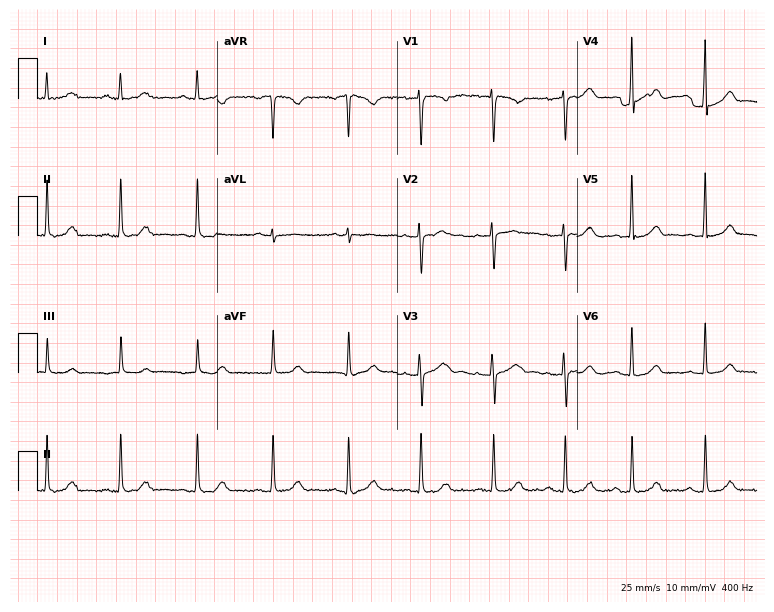
ECG (7.3-second recording at 400 Hz) — a female, 30 years old. Screened for six findings — first-degree AV block, right bundle branch block (RBBB), left bundle branch block (LBBB), sinus bradycardia, atrial fibrillation (AF), sinus tachycardia — none is recorded. Findings outside these six are not listed.